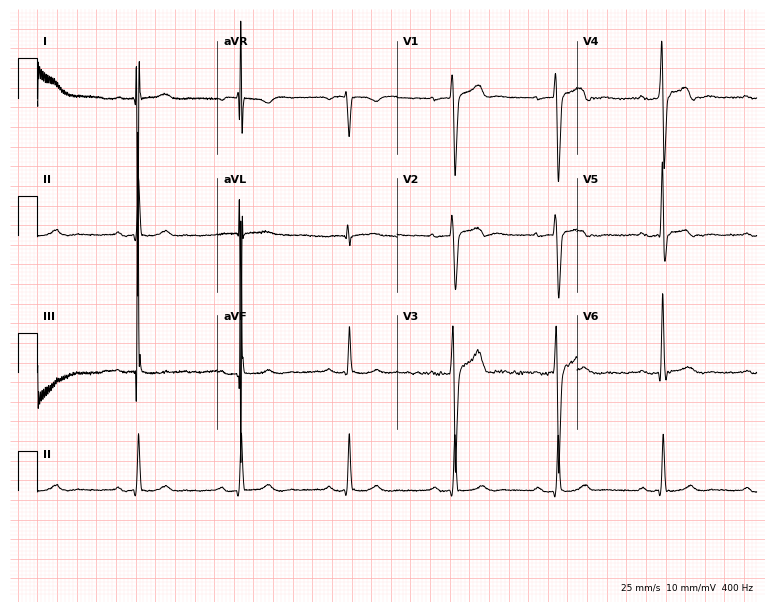
12-lead ECG from a man, 36 years old. No first-degree AV block, right bundle branch block, left bundle branch block, sinus bradycardia, atrial fibrillation or sinus tachycardia recorded for this tracing. Findings outside these six are not listed.